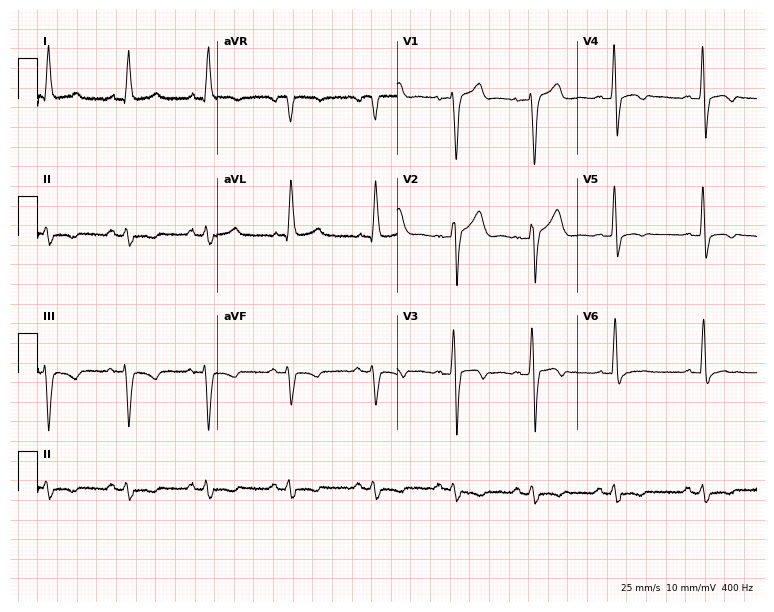
ECG — a male, 52 years old. Screened for six findings — first-degree AV block, right bundle branch block, left bundle branch block, sinus bradycardia, atrial fibrillation, sinus tachycardia — none is recorded. Only these six findings were labelled.